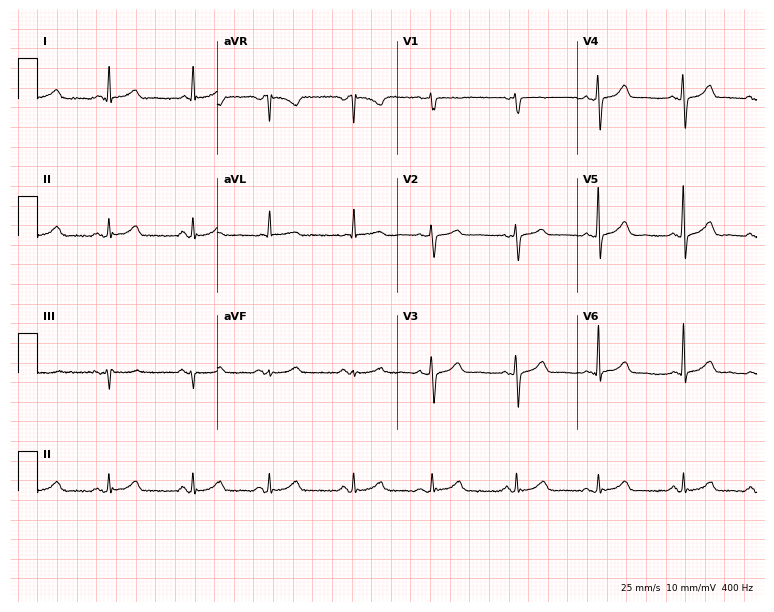
Resting 12-lead electrocardiogram. Patient: an 81-year-old female. Read as a normal ECG.